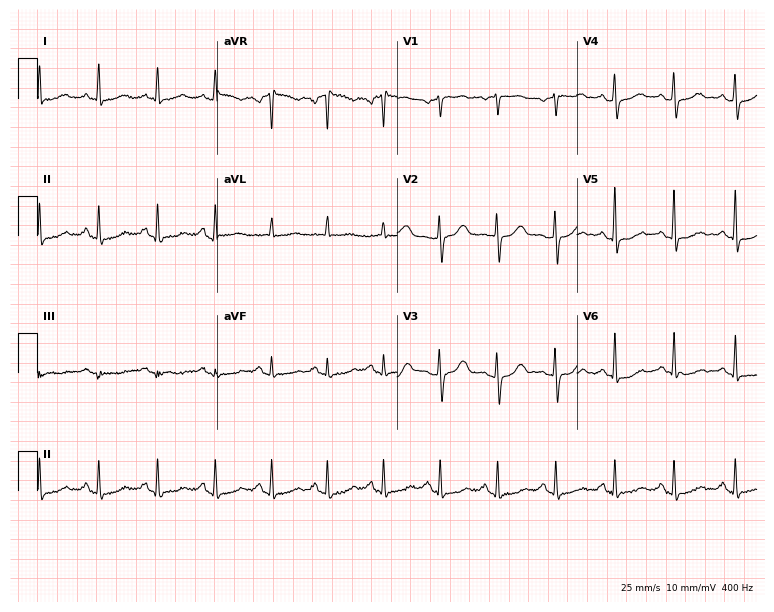
Electrocardiogram, a female patient, 55 years old. Interpretation includes sinus tachycardia (a sinus rate of 100 beats per minute or more).